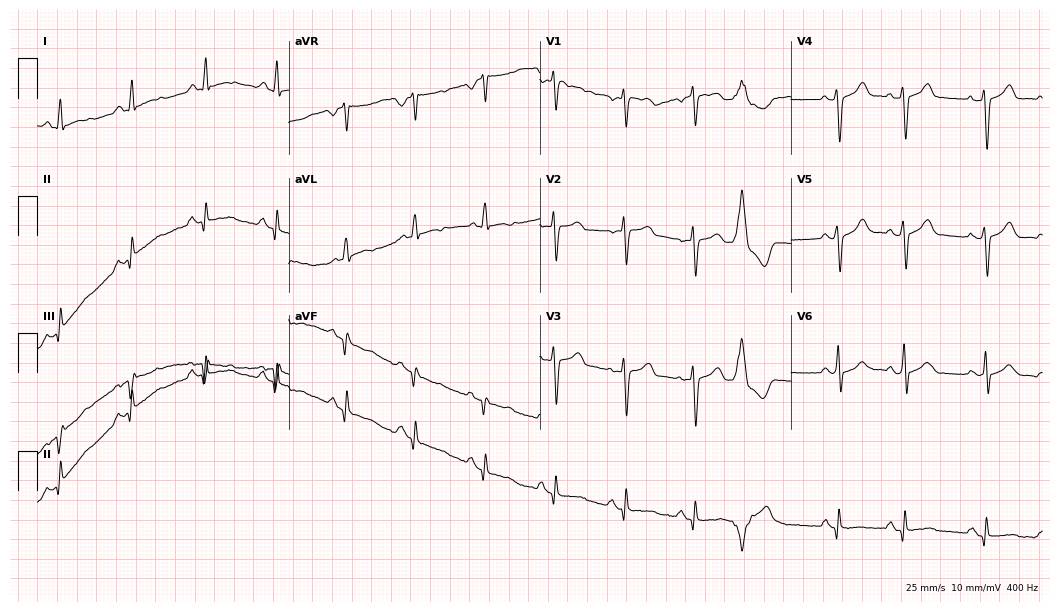
Electrocardiogram, a male patient, 31 years old. Of the six screened findings (first-degree AV block, right bundle branch block, left bundle branch block, sinus bradycardia, atrial fibrillation, sinus tachycardia), none is recorded. Other findings, if any, are not listed.